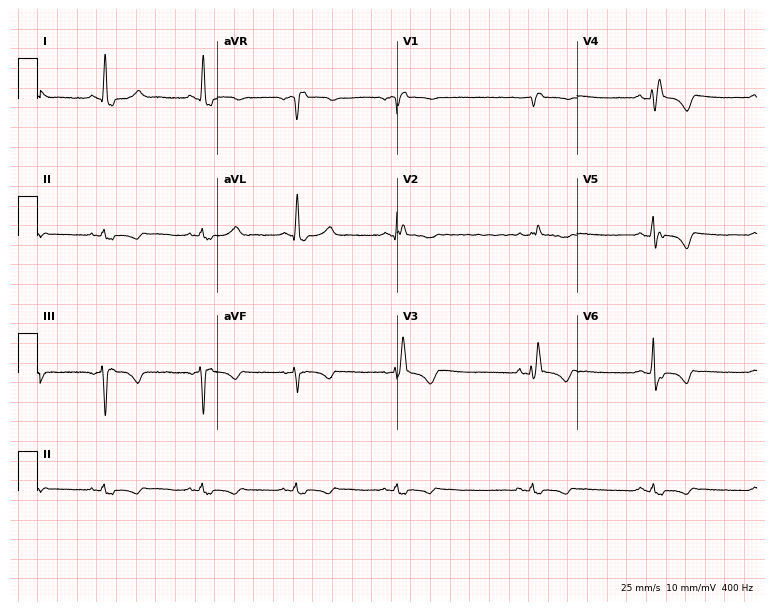
Standard 12-lead ECG recorded from a 64-year-old woman (7.3-second recording at 400 Hz). The tracing shows right bundle branch block.